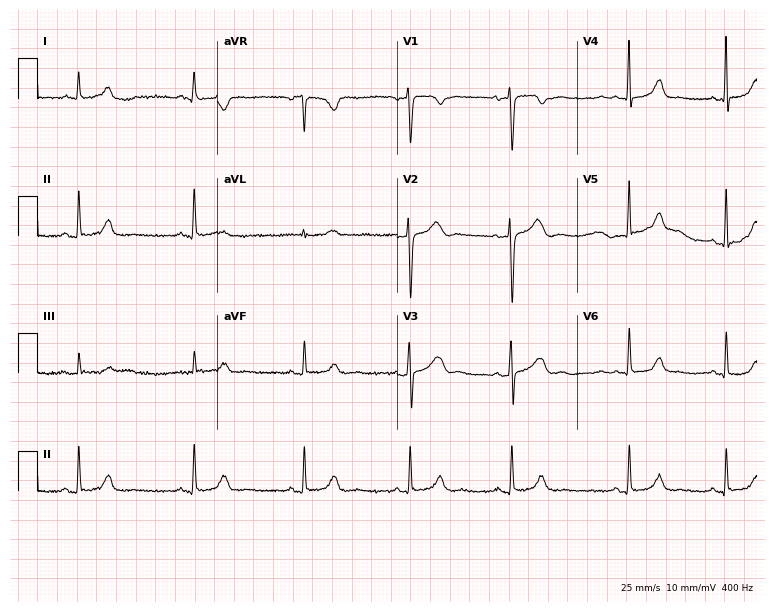
12-lead ECG from a 29-year-old woman. Labelled as a normal ECG.